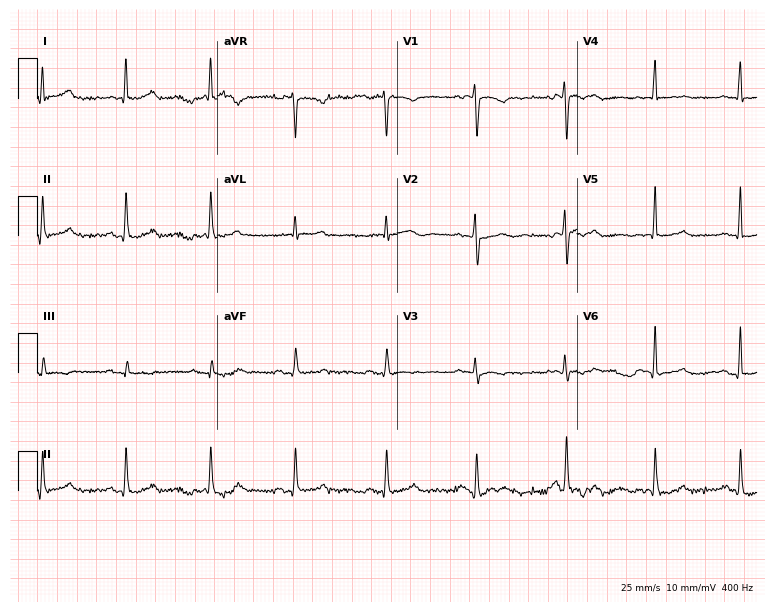
Standard 12-lead ECG recorded from a 38-year-old female patient. Read as a normal ECG.